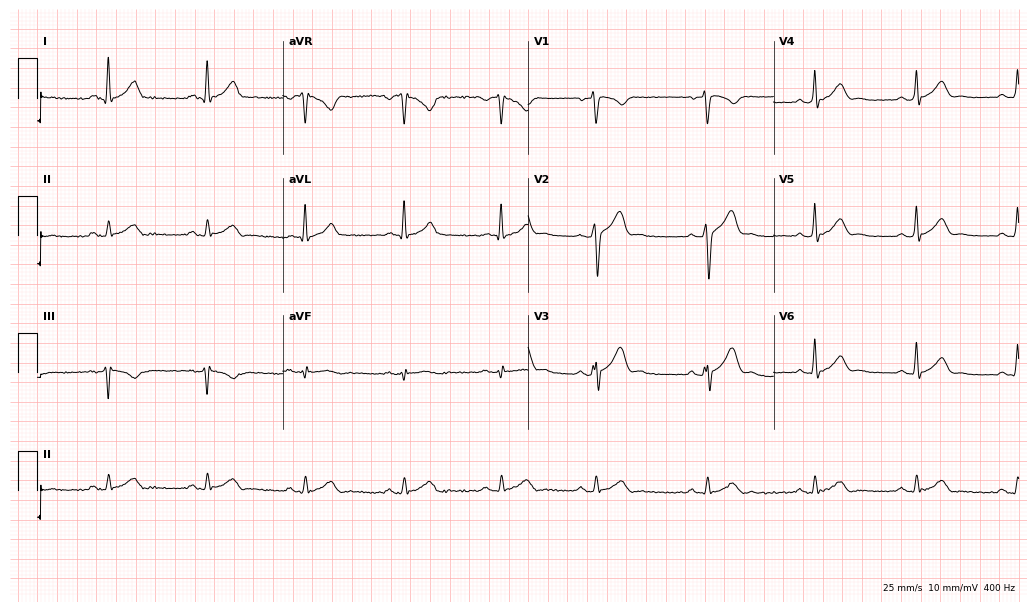
Electrocardiogram, a male patient, 36 years old. Overall reading on record: normal ECG.